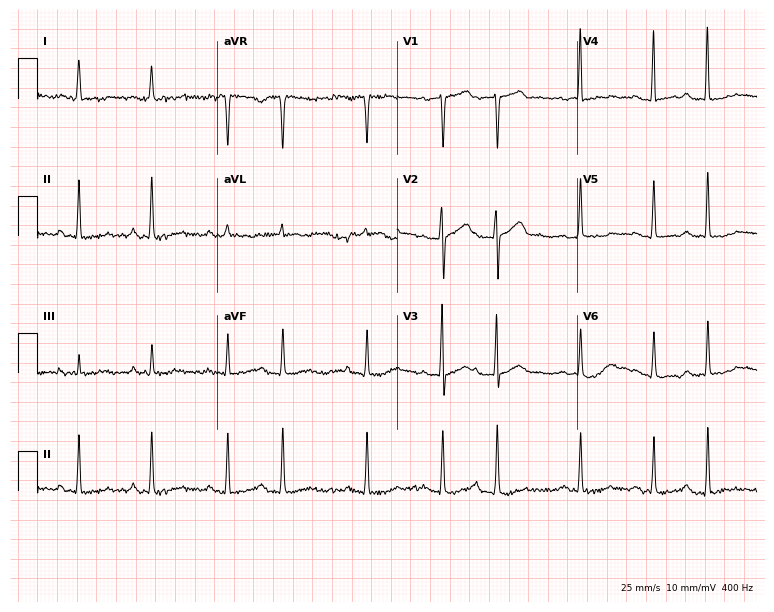
12-lead ECG from an 85-year-old woman. Screened for six findings — first-degree AV block, right bundle branch block, left bundle branch block, sinus bradycardia, atrial fibrillation, sinus tachycardia — none is recorded.